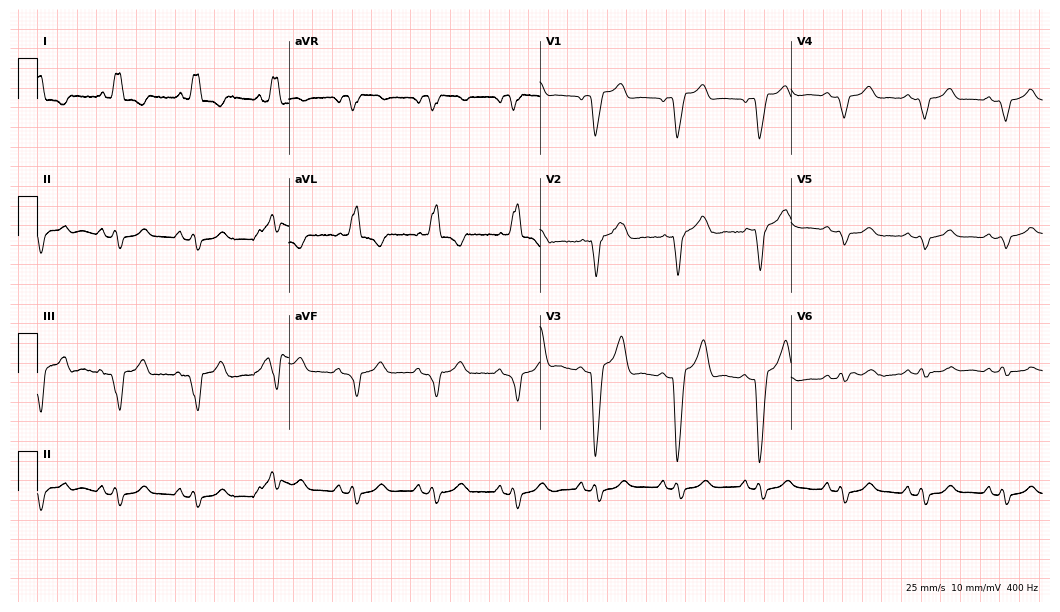
12-lead ECG from a female, 45 years old. Screened for six findings — first-degree AV block, right bundle branch block (RBBB), left bundle branch block (LBBB), sinus bradycardia, atrial fibrillation (AF), sinus tachycardia — none is recorded. Findings outside these six are not listed.